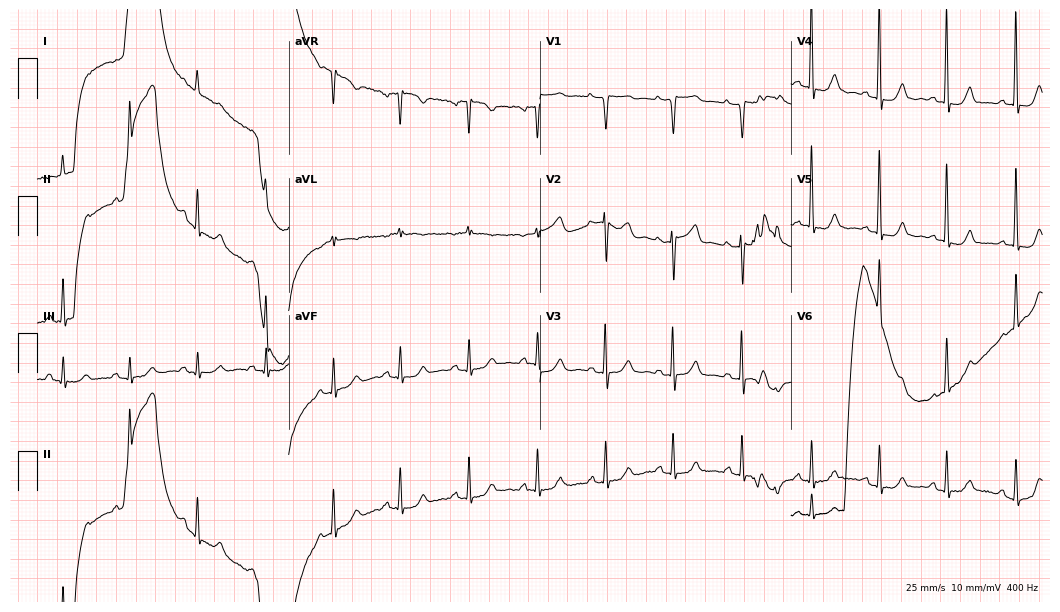
Electrocardiogram, a female, 84 years old. Overall reading on record: normal ECG.